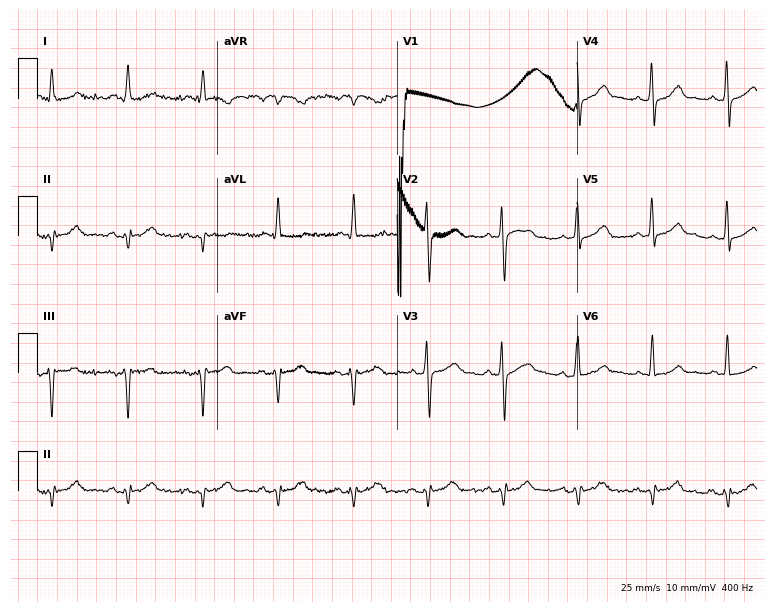
Standard 12-lead ECG recorded from a 74-year-old male patient (7.3-second recording at 400 Hz). None of these six findings is recorded: first-degree AV block, right bundle branch block, left bundle branch block, sinus bradycardia, atrial fibrillation, sinus tachycardia.